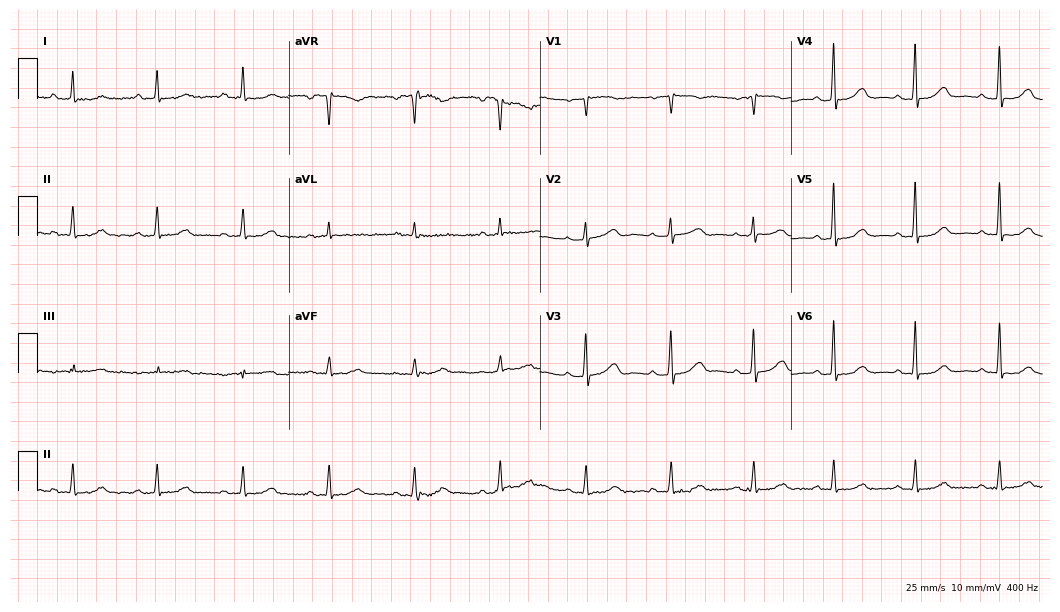
ECG (10.2-second recording at 400 Hz) — a 70-year-old woman. Labelled as a normal ECG.